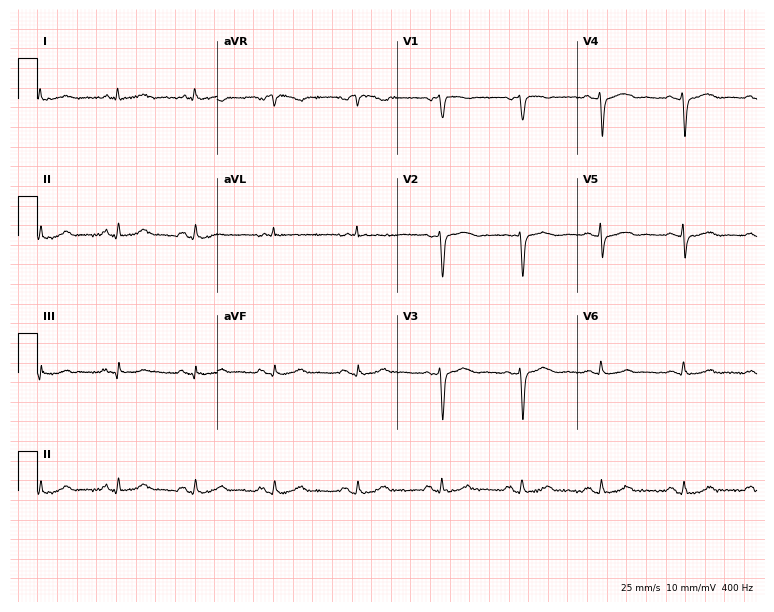
Standard 12-lead ECG recorded from a 57-year-old woman (7.3-second recording at 400 Hz). None of these six findings is recorded: first-degree AV block, right bundle branch block, left bundle branch block, sinus bradycardia, atrial fibrillation, sinus tachycardia.